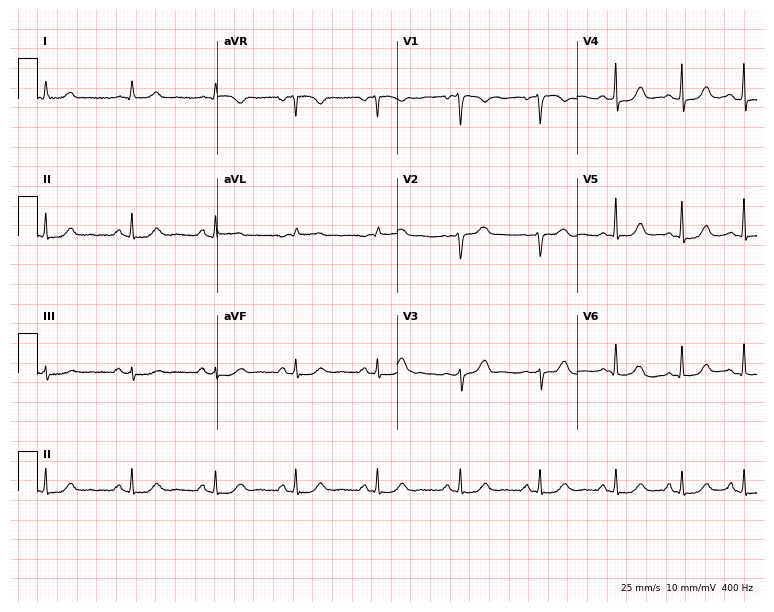
Electrocardiogram (7.3-second recording at 400 Hz), a woman, 39 years old. Of the six screened findings (first-degree AV block, right bundle branch block (RBBB), left bundle branch block (LBBB), sinus bradycardia, atrial fibrillation (AF), sinus tachycardia), none is recorded. Only these six findings were labelled.